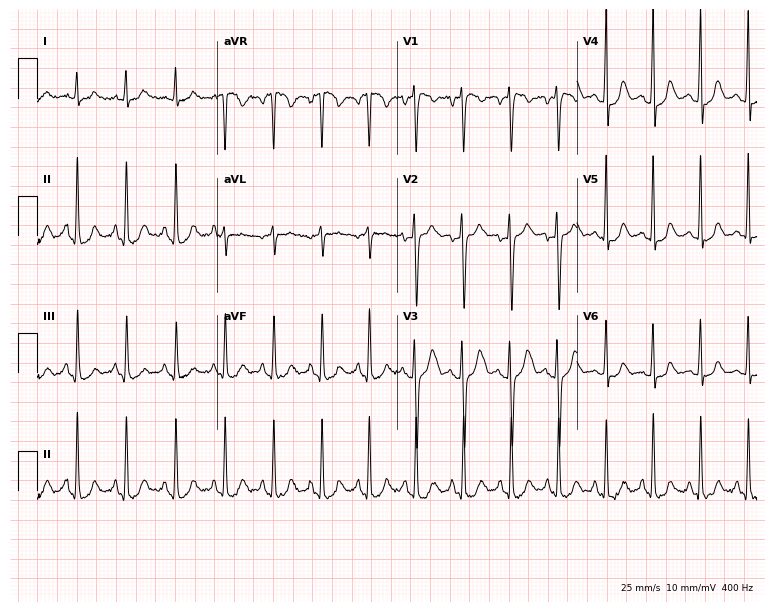
Electrocardiogram, a female patient, 33 years old. Interpretation includes sinus tachycardia (a sinus rate of 100 beats per minute or more).